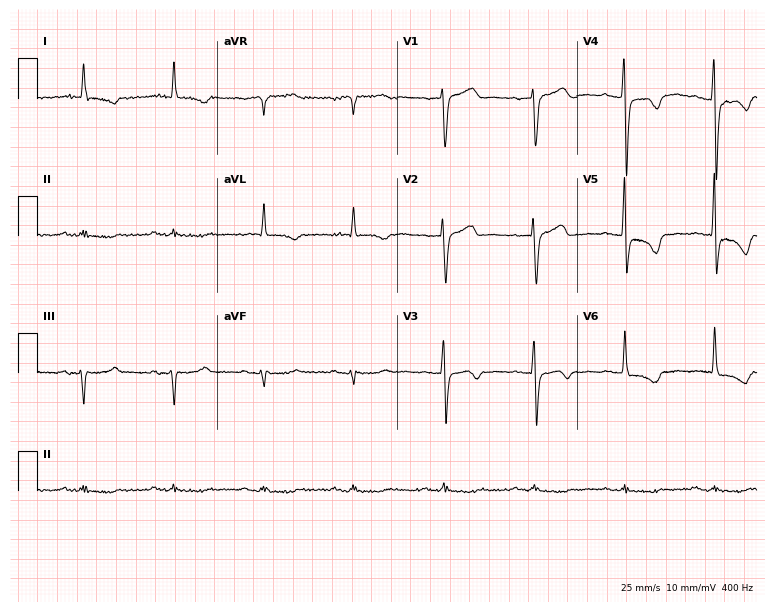
12-lead ECG from a male, 83 years old. No first-degree AV block, right bundle branch block, left bundle branch block, sinus bradycardia, atrial fibrillation or sinus tachycardia recorded for this tracing. Findings outside these six are not listed.